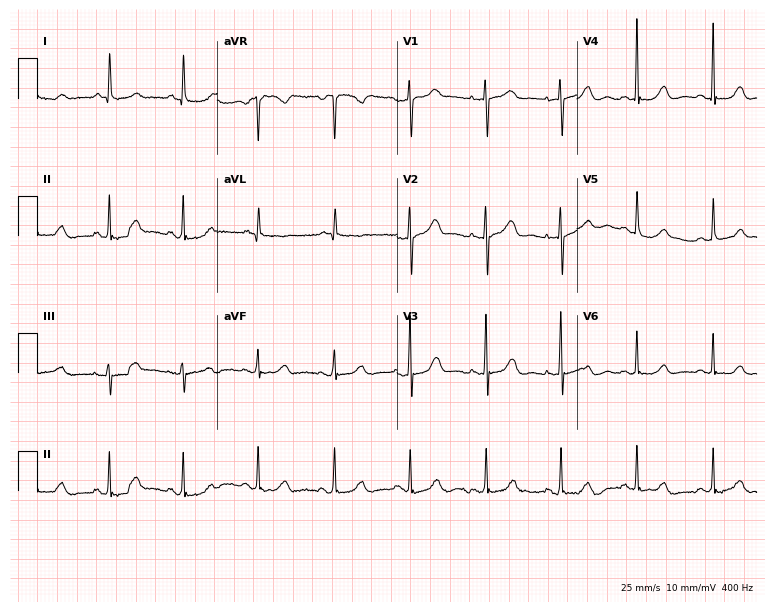
ECG — a female patient, 85 years old. Screened for six findings — first-degree AV block, right bundle branch block, left bundle branch block, sinus bradycardia, atrial fibrillation, sinus tachycardia — none is recorded.